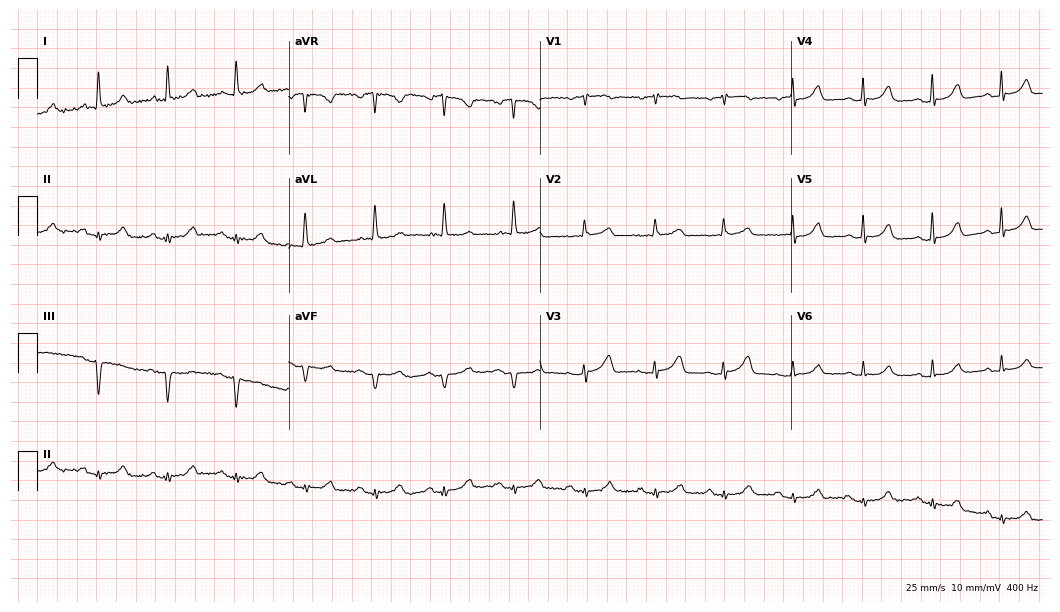
ECG (10.2-second recording at 400 Hz) — a 69-year-old woman. Screened for six findings — first-degree AV block, right bundle branch block (RBBB), left bundle branch block (LBBB), sinus bradycardia, atrial fibrillation (AF), sinus tachycardia — none is recorded. Findings outside these six are not listed.